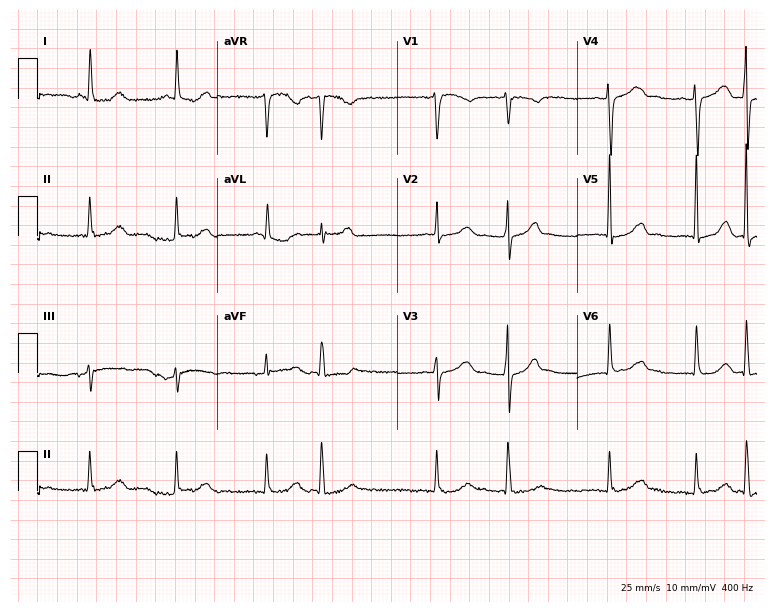
Standard 12-lead ECG recorded from a 78-year-old female. None of these six findings is recorded: first-degree AV block, right bundle branch block (RBBB), left bundle branch block (LBBB), sinus bradycardia, atrial fibrillation (AF), sinus tachycardia.